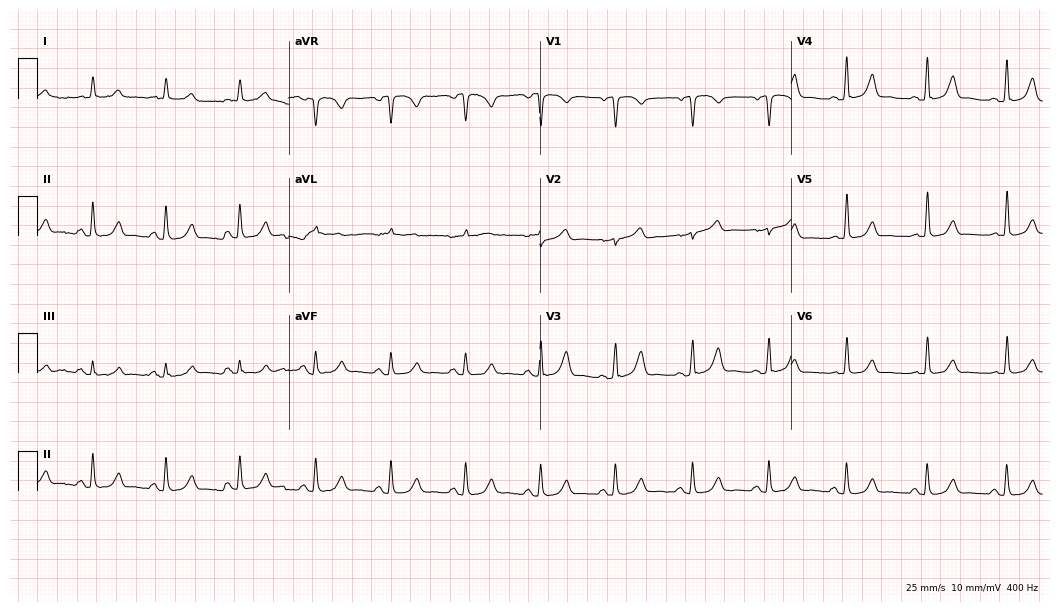
ECG — a 49-year-old female patient. Screened for six findings — first-degree AV block, right bundle branch block (RBBB), left bundle branch block (LBBB), sinus bradycardia, atrial fibrillation (AF), sinus tachycardia — none is recorded.